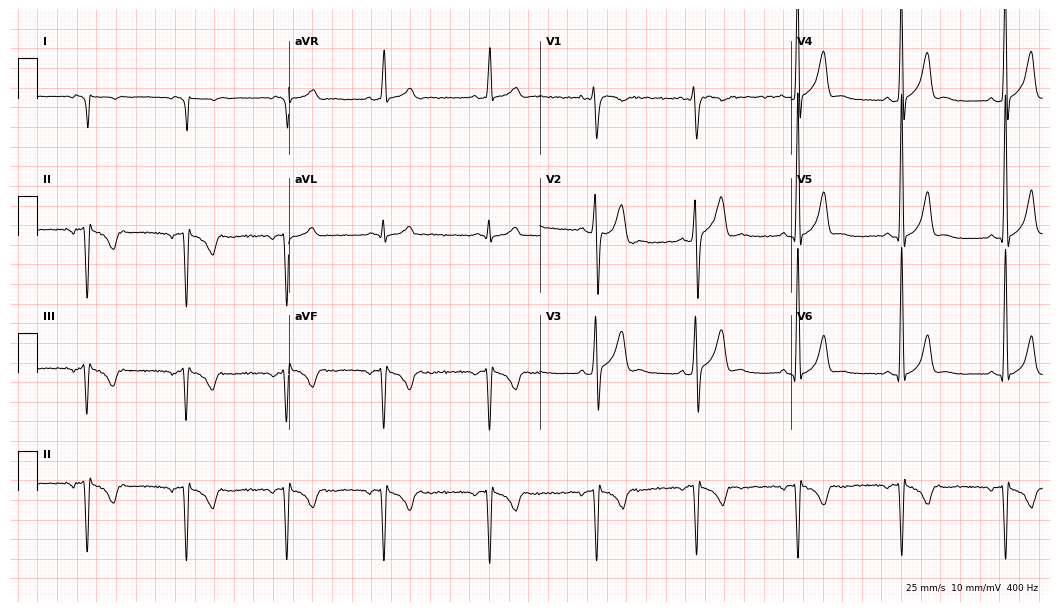
12-lead ECG from a 25-year-old male patient (10.2-second recording at 400 Hz). Recorded interpretation: within normal limits.